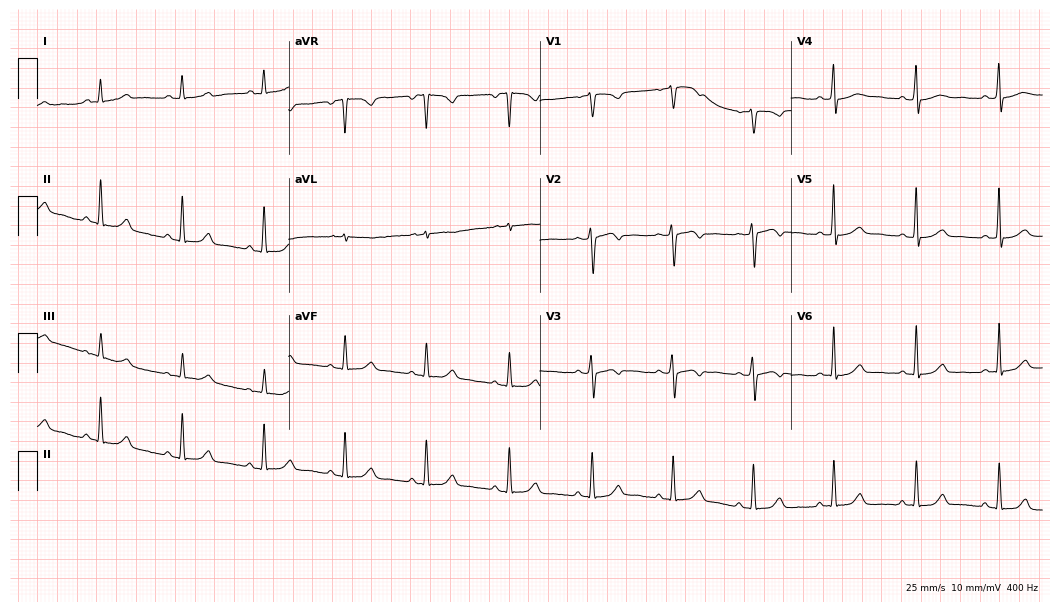
Electrocardiogram (10.2-second recording at 400 Hz), a 56-year-old female patient. Overall reading on record: normal ECG.